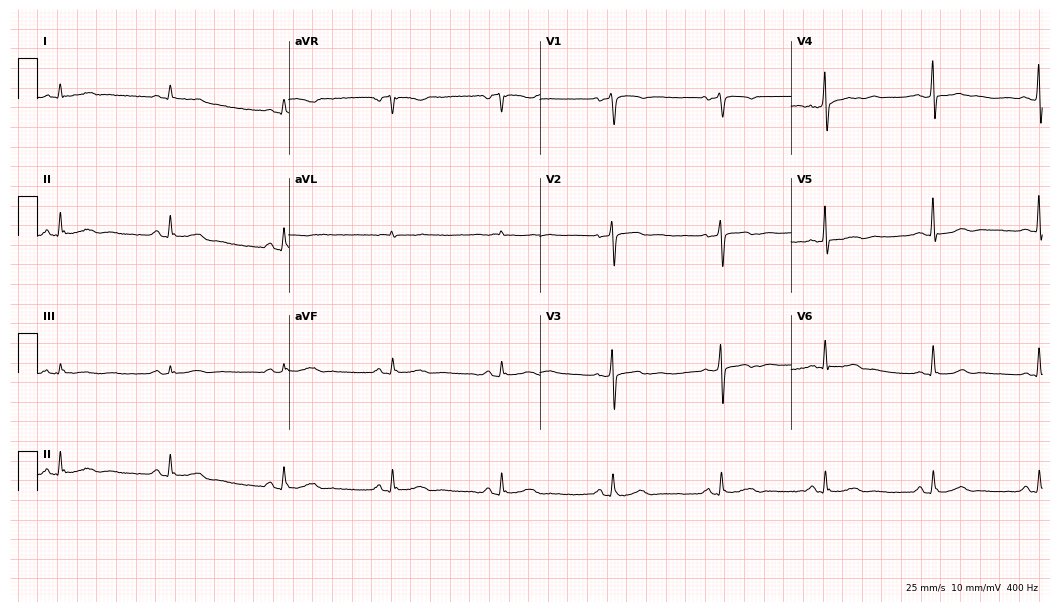
12-lead ECG from a 52-year-old male patient. Labelled as a normal ECG.